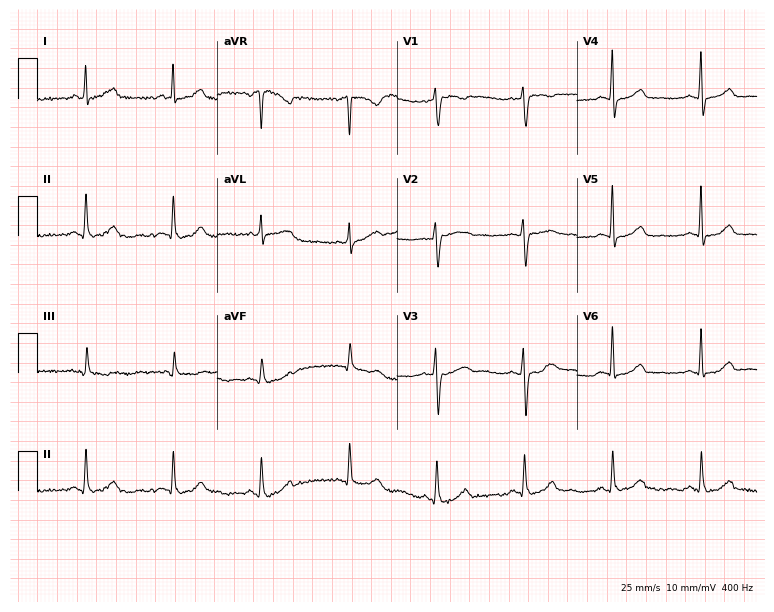
Standard 12-lead ECG recorded from a 64-year-old woman (7.3-second recording at 400 Hz). Read as a normal ECG.